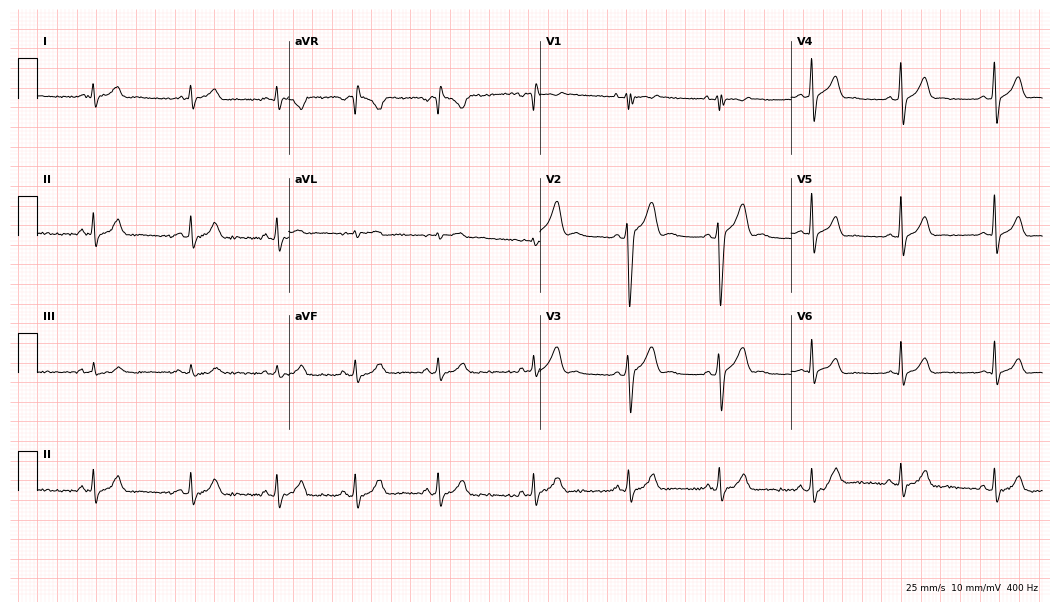
12-lead ECG from a 19-year-old female patient. Screened for six findings — first-degree AV block, right bundle branch block, left bundle branch block, sinus bradycardia, atrial fibrillation, sinus tachycardia — none is recorded. Other findings, if any, are not listed.